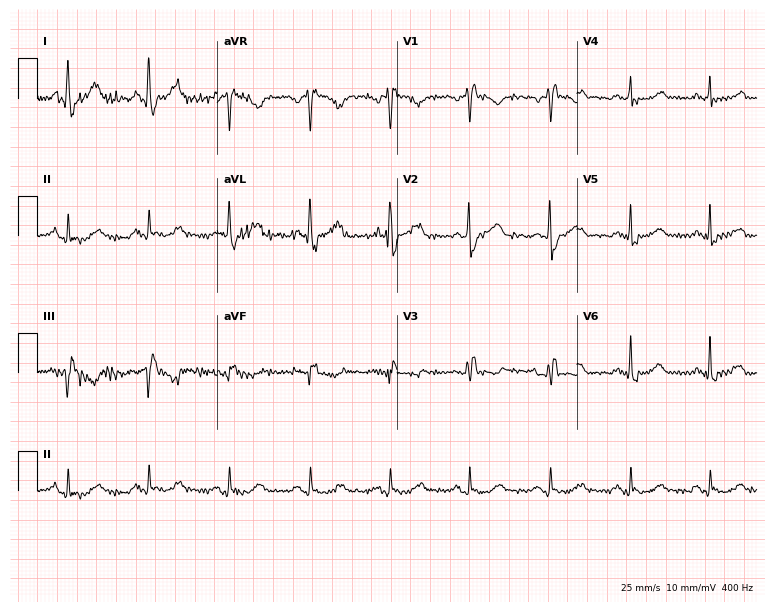
12-lead ECG from a female, 74 years old (7.3-second recording at 400 Hz). Shows right bundle branch block.